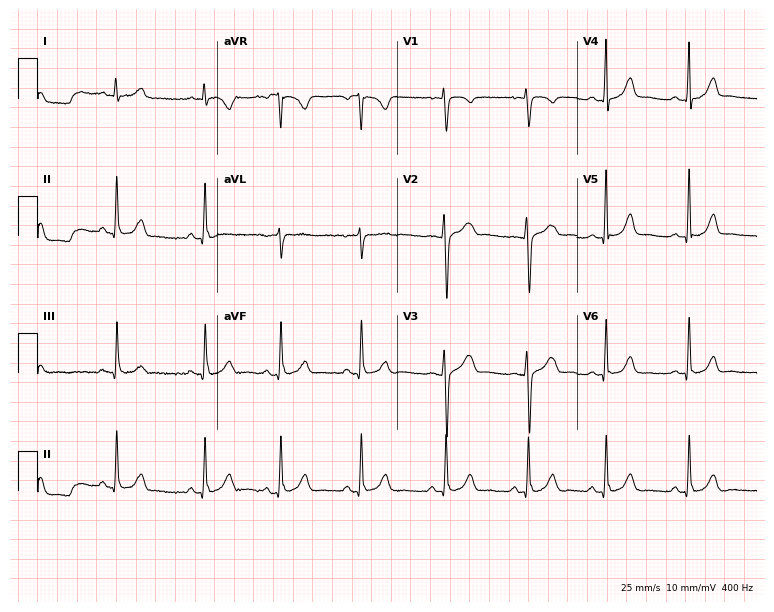
Standard 12-lead ECG recorded from a female, 19 years old. Read as a normal ECG.